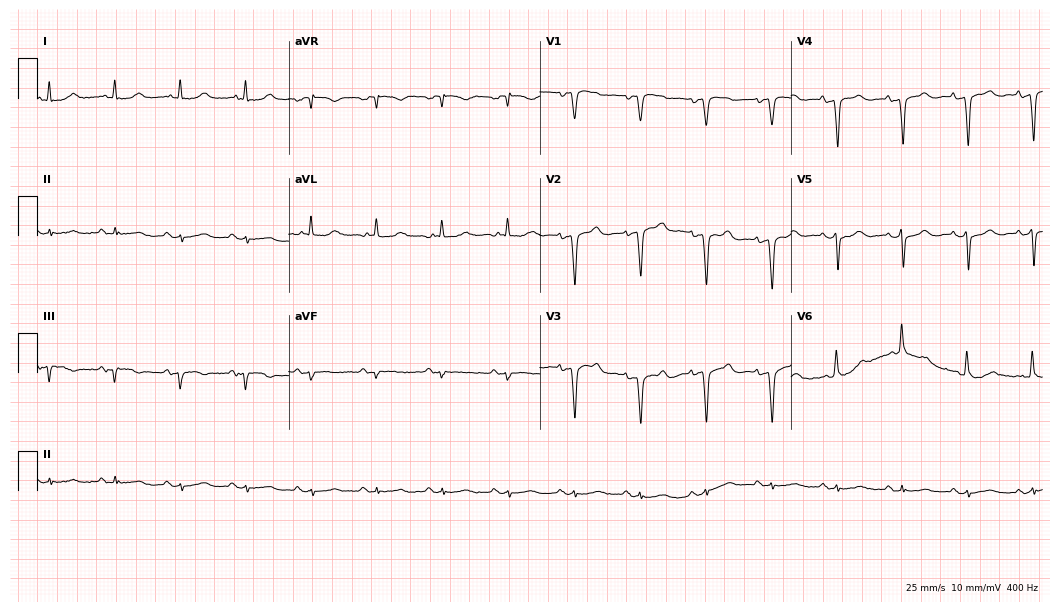
12-lead ECG (10.2-second recording at 400 Hz) from an 85-year-old male patient. Screened for six findings — first-degree AV block, right bundle branch block, left bundle branch block, sinus bradycardia, atrial fibrillation, sinus tachycardia — none is recorded.